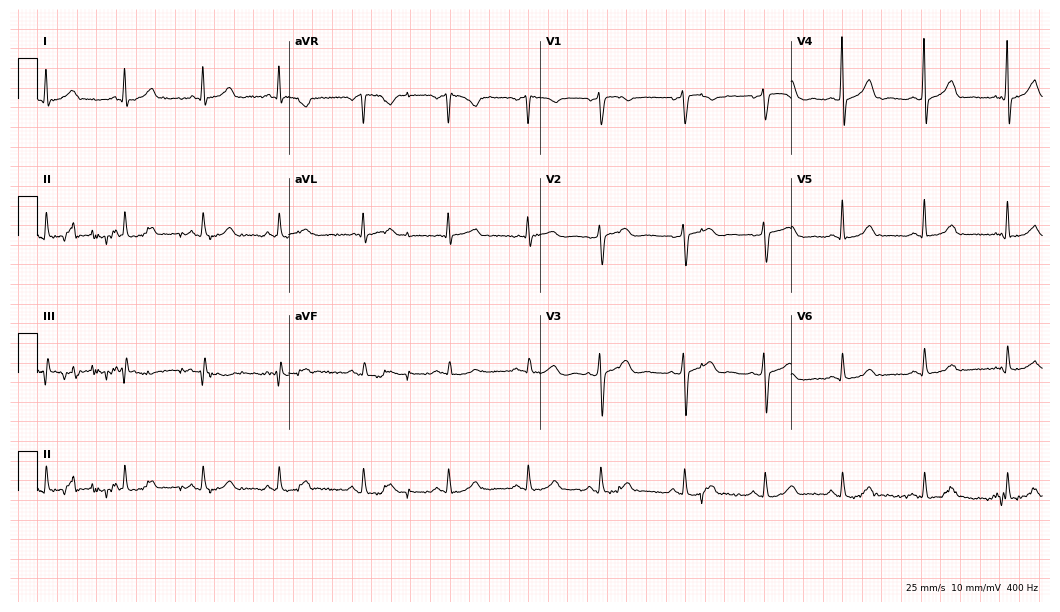
Standard 12-lead ECG recorded from a woman, 54 years old (10.2-second recording at 400 Hz). Read as a normal ECG.